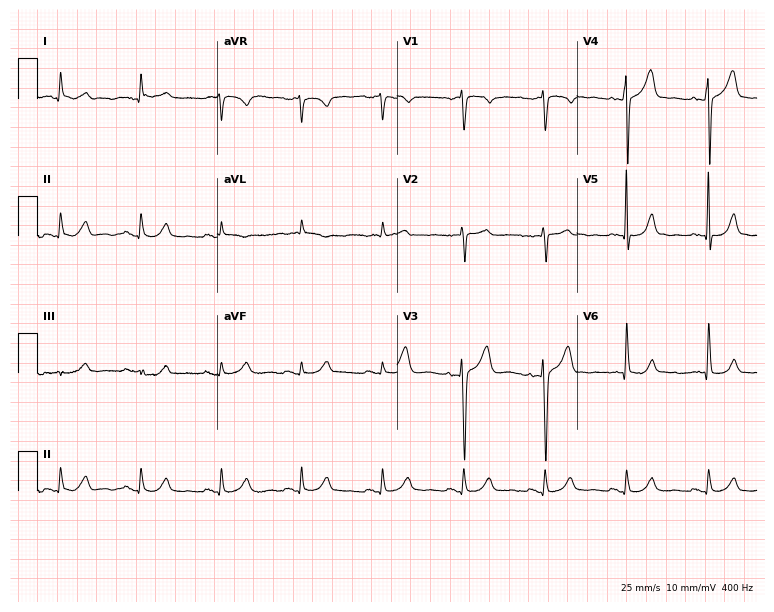
12-lead ECG from a 65-year-old male. Recorded interpretation: within normal limits.